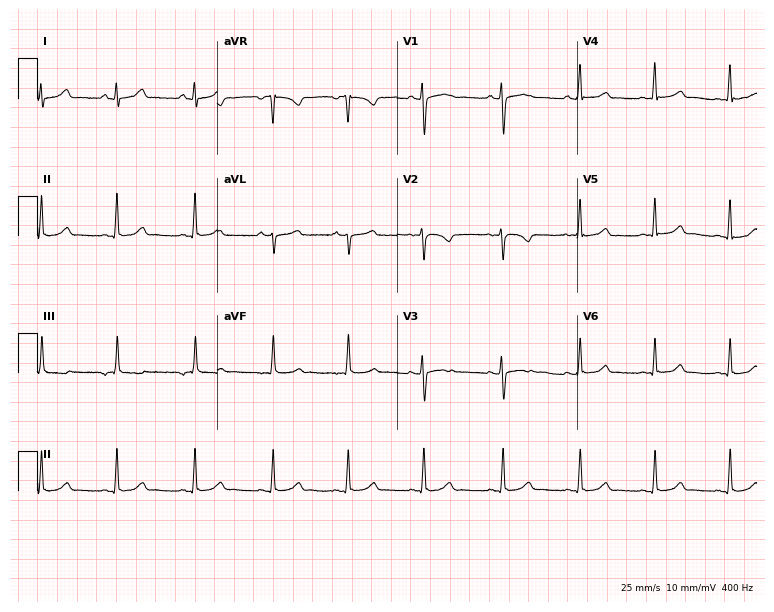
Electrocardiogram (7.3-second recording at 400 Hz), an 18-year-old female patient. Of the six screened findings (first-degree AV block, right bundle branch block, left bundle branch block, sinus bradycardia, atrial fibrillation, sinus tachycardia), none is recorded. Only these six findings were labelled.